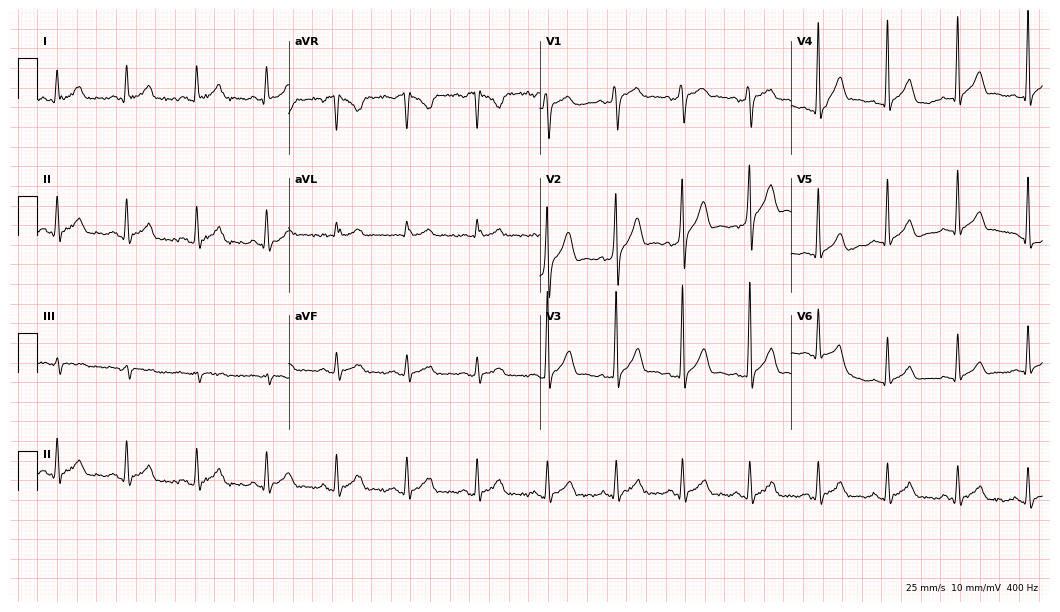
Electrocardiogram (10.2-second recording at 400 Hz), a male patient, 48 years old. Overall reading on record: normal ECG.